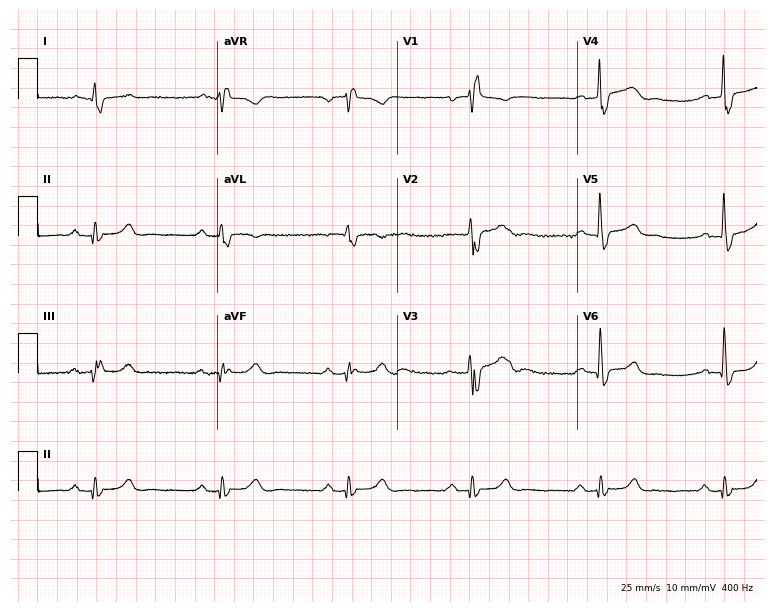
ECG — a male, 62 years old. Findings include right bundle branch block (RBBB).